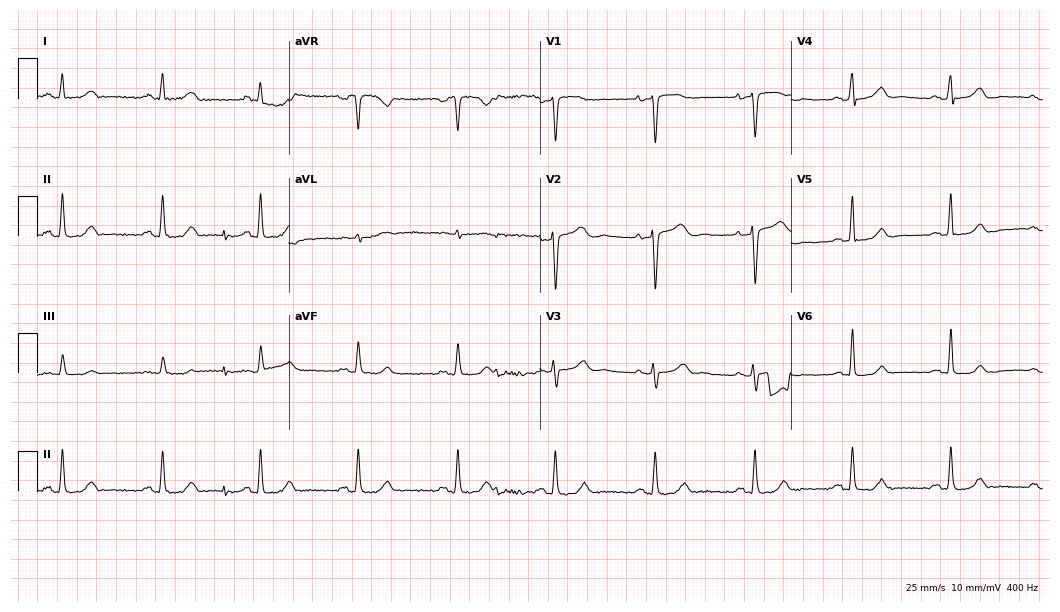
ECG (10.2-second recording at 400 Hz) — a female patient, 52 years old. Screened for six findings — first-degree AV block, right bundle branch block (RBBB), left bundle branch block (LBBB), sinus bradycardia, atrial fibrillation (AF), sinus tachycardia — none is recorded. Only these six findings were labelled.